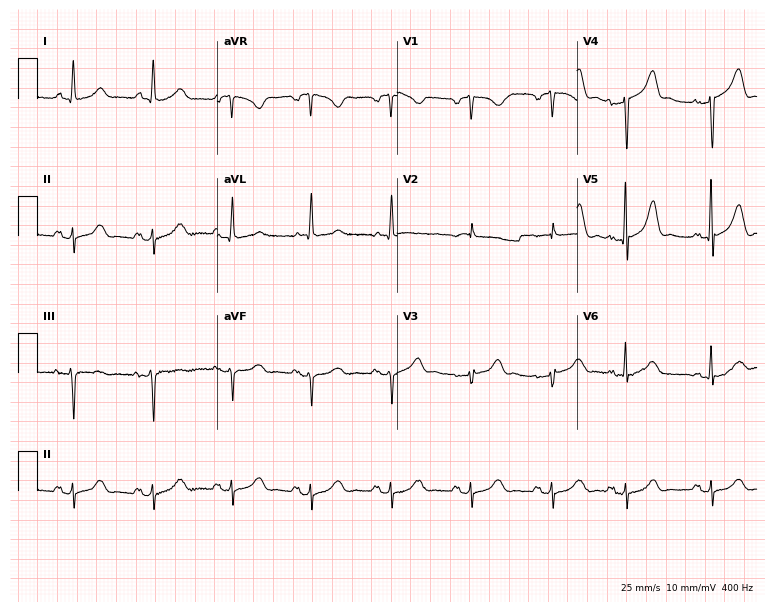
Resting 12-lead electrocardiogram. Patient: a female, 82 years old. None of these six findings is recorded: first-degree AV block, right bundle branch block, left bundle branch block, sinus bradycardia, atrial fibrillation, sinus tachycardia.